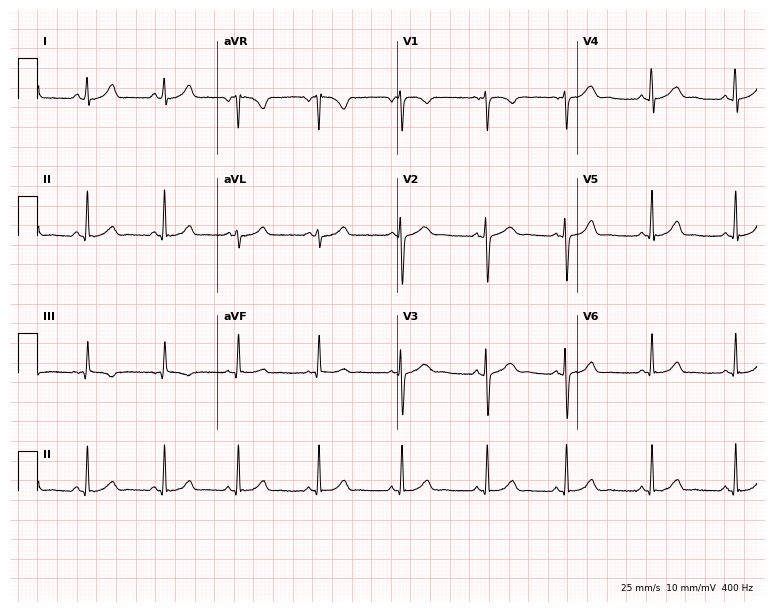
ECG — a female patient, 19 years old. Labelled as a normal ECG.